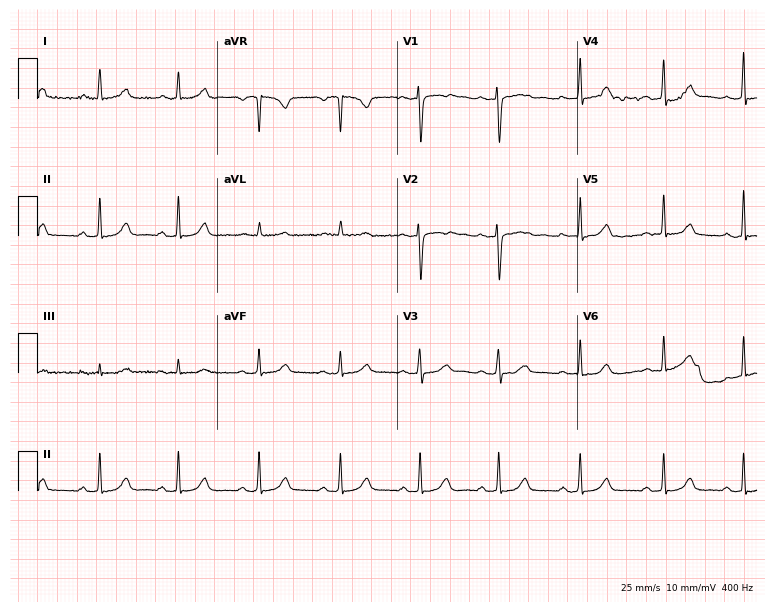
12-lead ECG (7.3-second recording at 400 Hz) from a 45-year-old female. Screened for six findings — first-degree AV block, right bundle branch block, left bundle branch block, sinus bradycardia, atrial fibrillation, sinus tachycardia — none is recorded. Only these six findings were labelled.